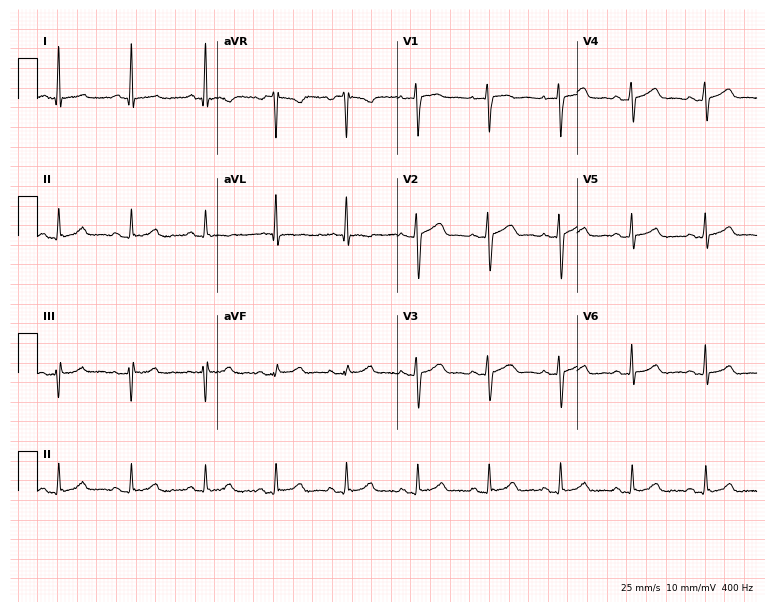
12-lead ECG from a female, 36 years old. No first-degree AV block, right bundle branch block, left bundle branch block, sinus bradycardia, atrial fibrillation or sinus tachycardia recorded for this tracing. Only these six findings were labelled.